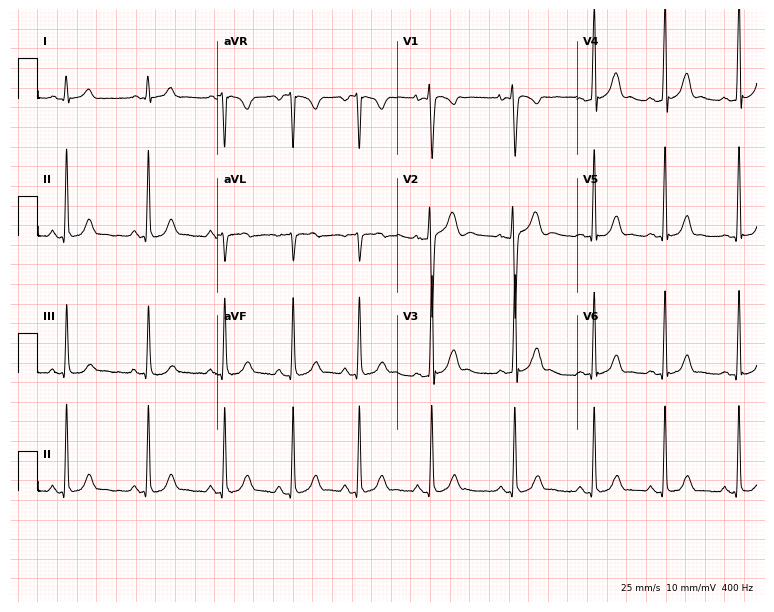
12-lead ECG from a male patient, 19 years old. Recorded interpretation: within normal limits.